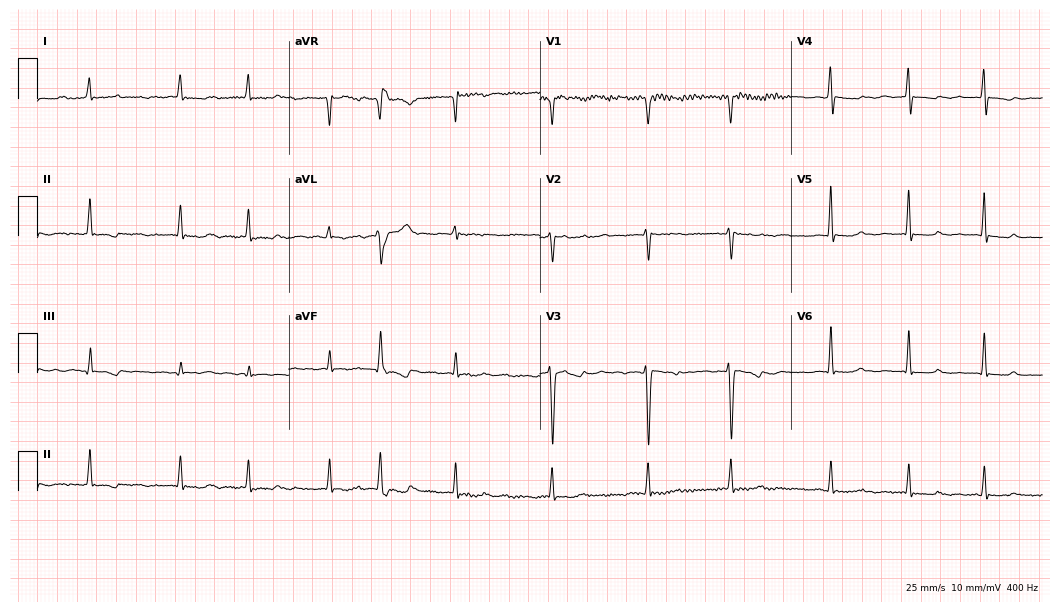
12-lead ECG (10.2-second recording at 400 Hz) from a woman, 78 years old. Findings include atrial fibrillation.